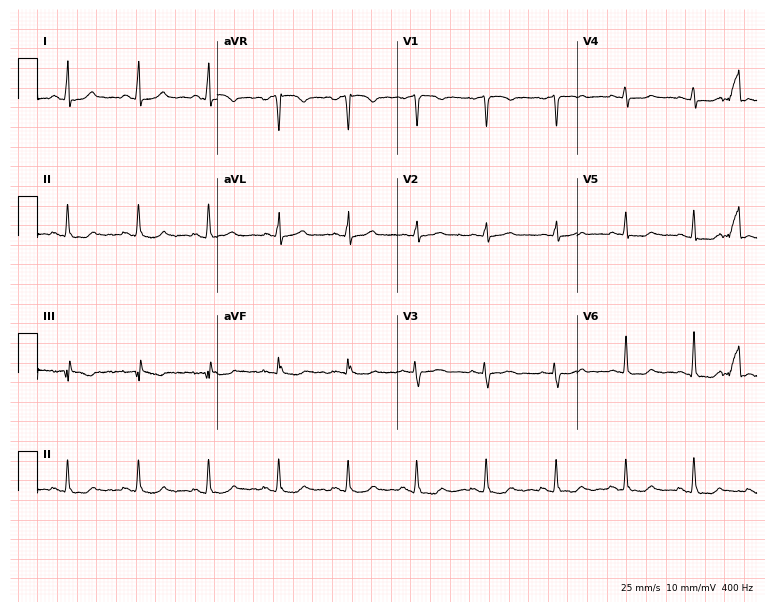
12-lead ECG from a female patient, 66 years old. Recorded interpretation: within normal limits.